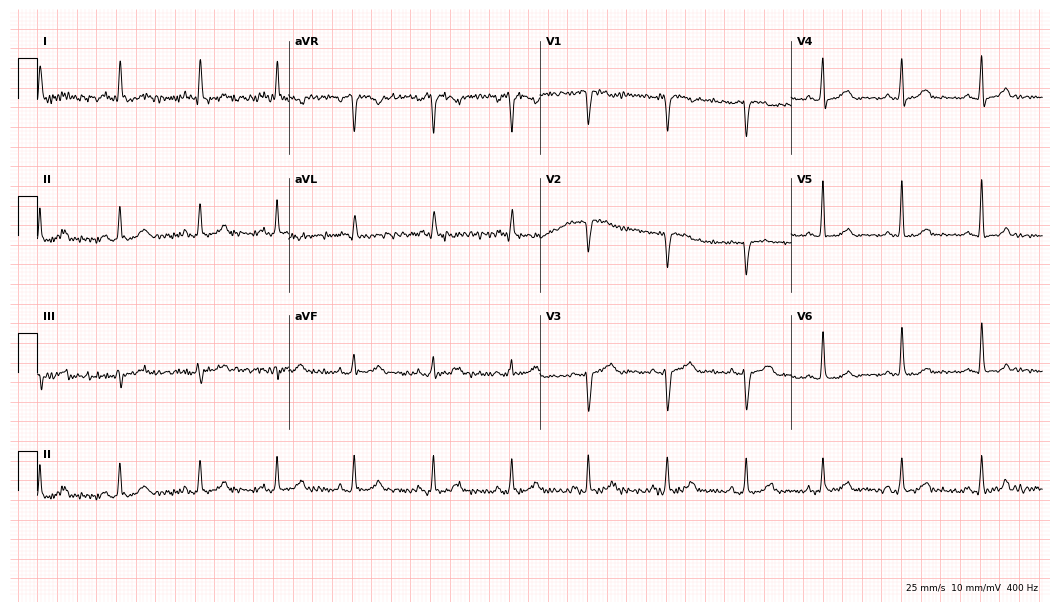
Electrocardiogram (10.2-second recording at 400 Hz), a 47-year-old woman. Overall reading on record: normal ECG.